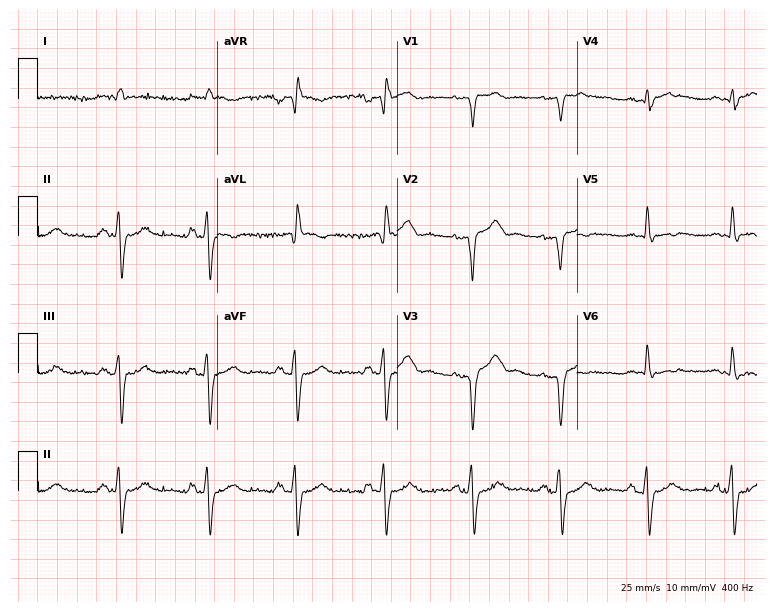
12-lead ECG (7.3-second recording at 400 Hz) from a male, 84 years old. Screened for six findings — first-degree AV block, right bundle branch block, left bundle branch block, sinus bradycardia, atrial fibrillation, sinus tachycardia — none is recorded.